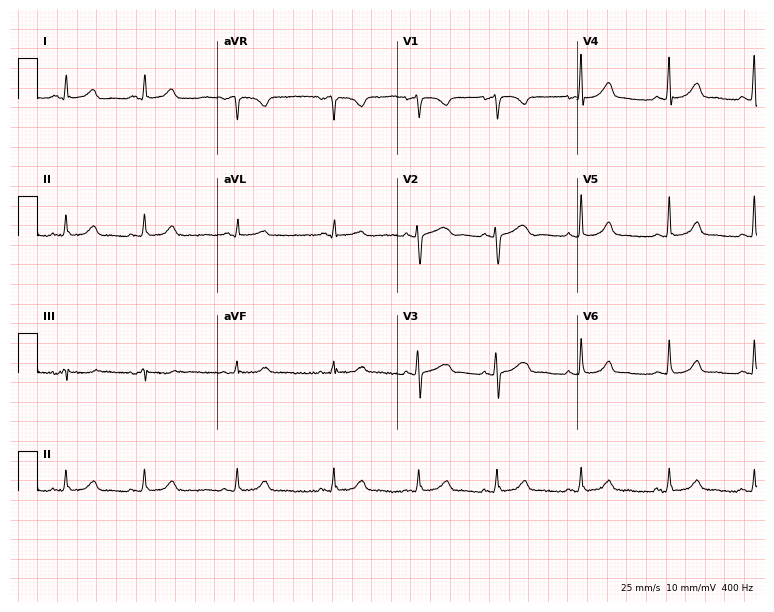
Standard 12-lead ECG recorded from a 29-year-old female patient. None of these six findings is recorded: first-degree AV block, right bundle branch block, left bundle branch block, sinus bradycardia, atrial fibrillation, sinus tachycardia.